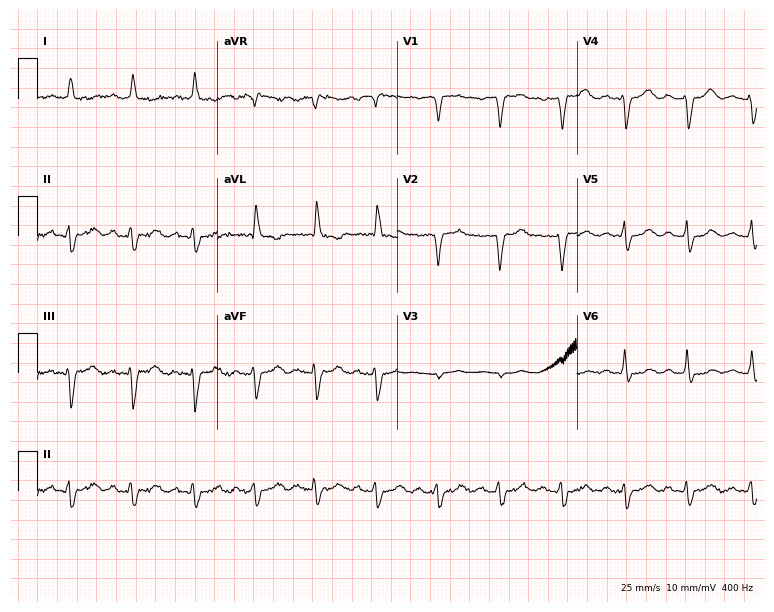
Standard 12-lead ECG recorded from a female, 78 years old. None of these six findings is recorded: first-degree AV block, right bundle branch block (RBBB), left bundle branch block (LBBB), sinus bradycardia, atrial fibrillation (AF), sinus tachycardia.